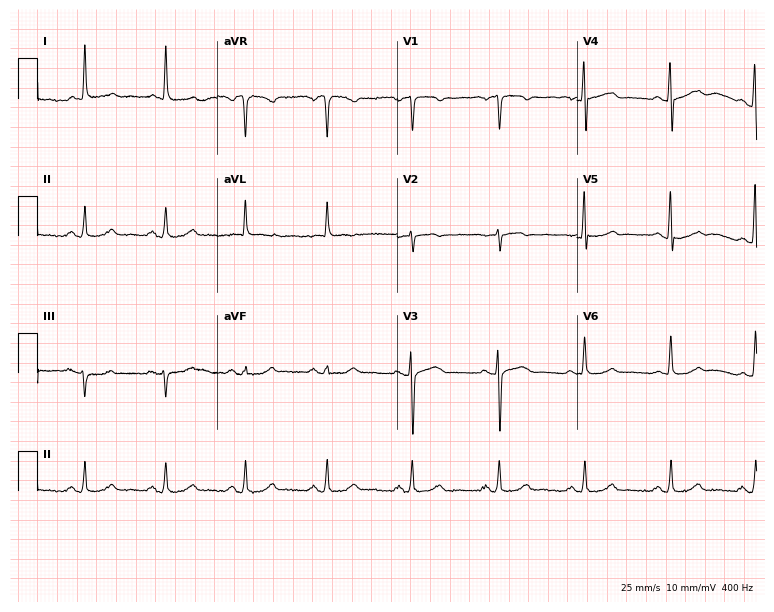
Resting 12-lead electrocardiogram (7.3-second recording at 400 Hz). Patient: a female, 61 years old. None of these six findings is recorded: first-degree AV block, right bundle branch block (RBBB), left bundle branch block (LBBB), sinus bradycardia, atrial fibrillation (AF), sinus tachycardia. Other findings, if any, are not listed.